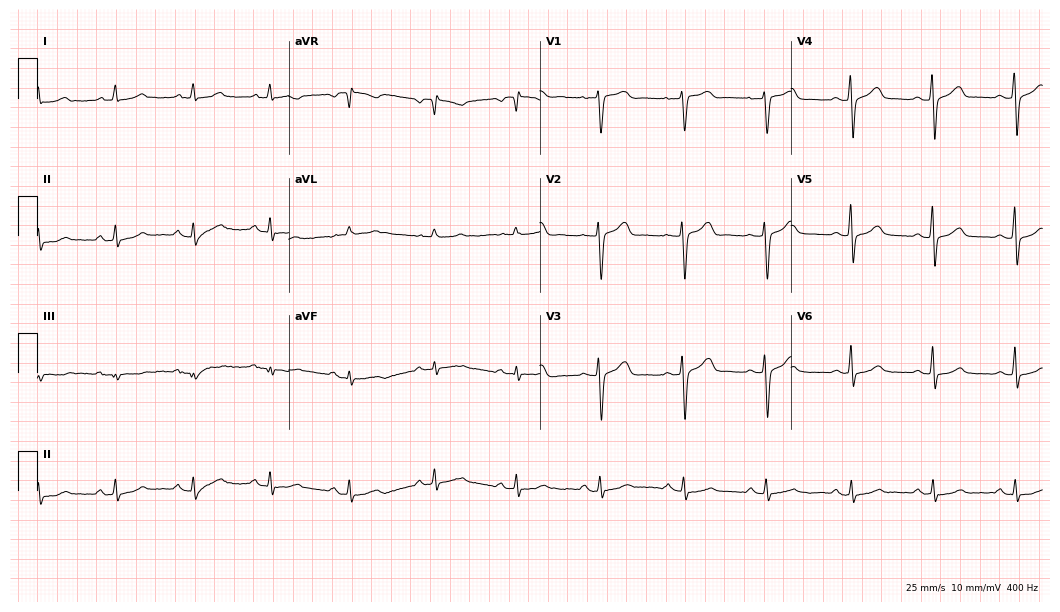
ECG (10.2-second recording at 400 Hz) — a 43-year-old woman. Screened for six findings — first-degree AV block, right bundle branch block, left bundle branch block, sinus bradycardia, atrial fibrillation, sinus tachycardia — none is recorded.